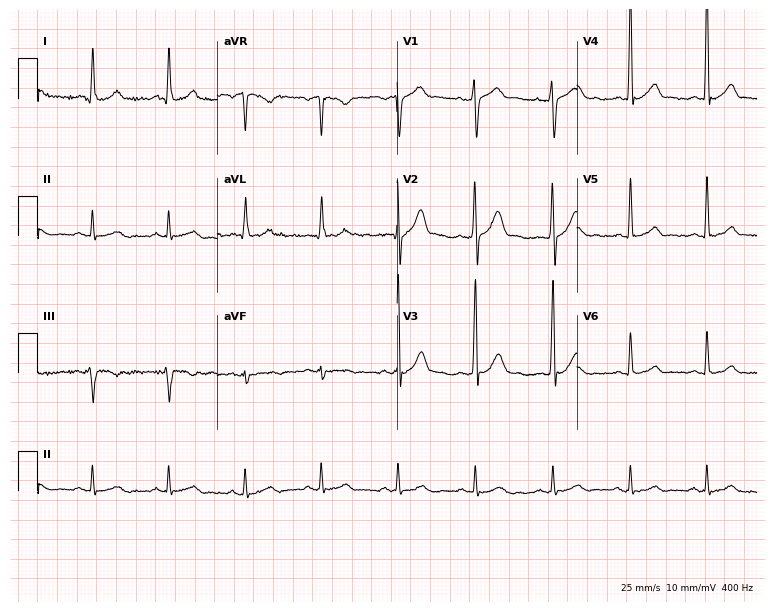
Resting 12-lead electrocardiogram. Patient: a 46-year-old male. None of these six findings is recorded: first-degree AV block, right bundle branch block (RBBB), left bundle branch block (LBBB), sinus bradycardia, atrial fibrillation (AF), sinus tachycardia. Other findings, if any, are not listed.